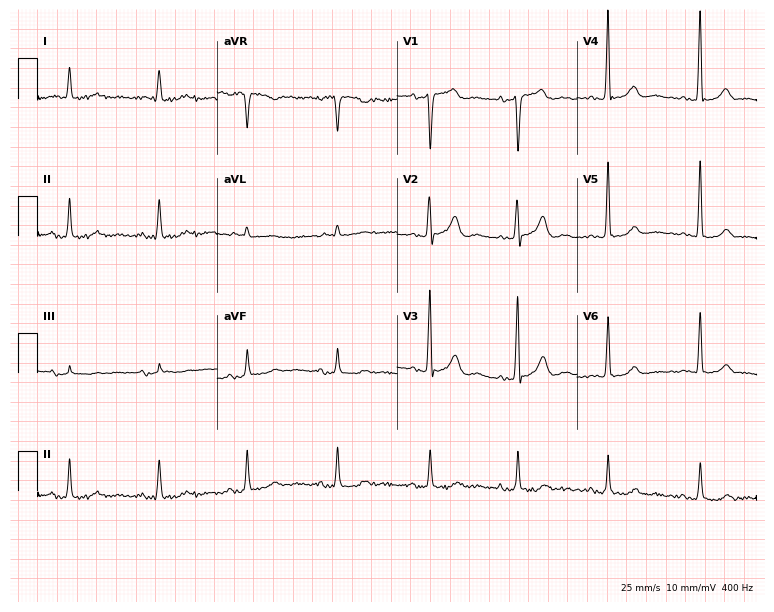
Electrocardiogram (7.3-second recording at 400 Hz), a 71-year-old male. Of the six screened findings (first-degree AV block, right bundle branch block, left bundle branch block, sinus bradycardia, atrial fibrillation, sinus tachycardia), none is recorded. Only these six findings were labelled.